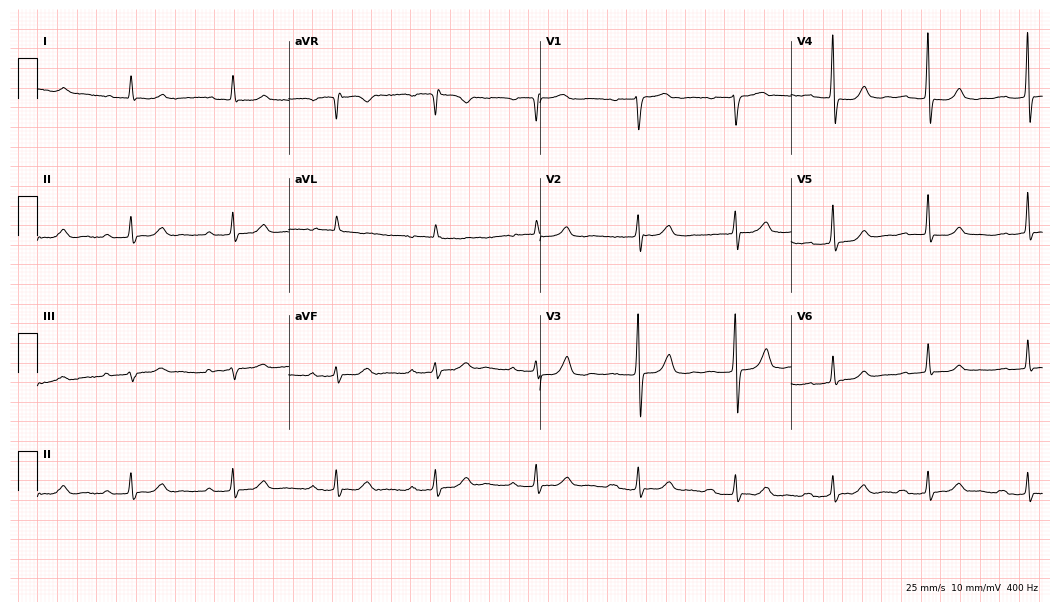
Resting 12-lead electrocardiogram. Patient: a female, 79 years old. The tracing shows first-degree AV block.